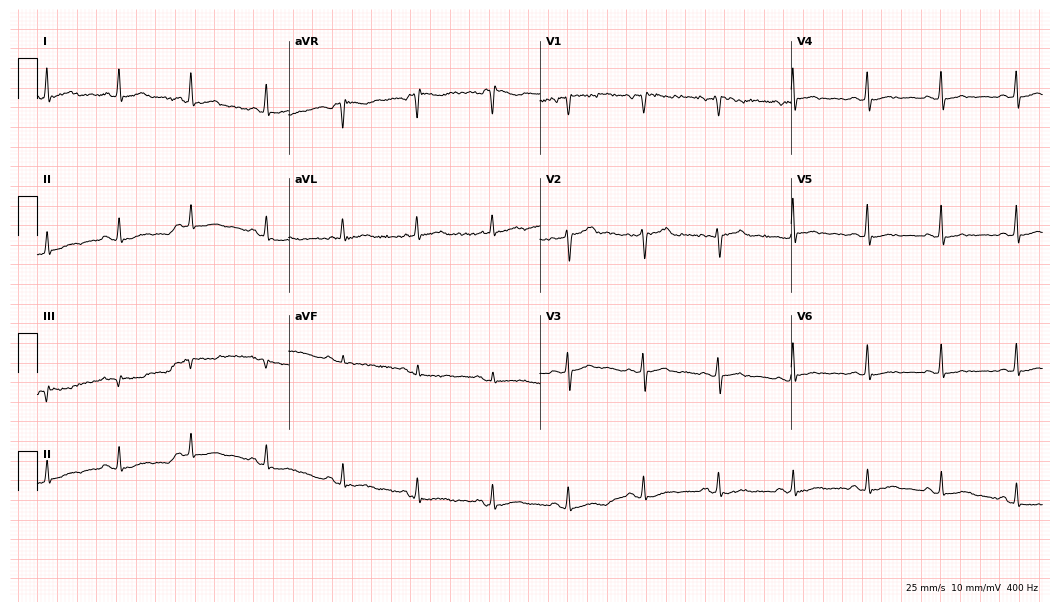
Electrocardiogram, a female patient, 65 years old. Overall reading on record: normal ECG.